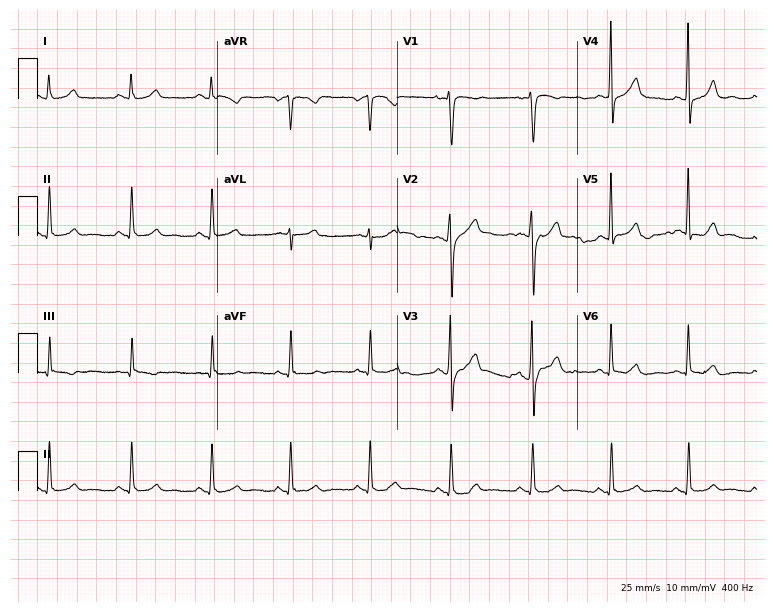
12-lead ECG from a 29-year-old female patient (7.3-second recording at 400 Hz). Recorded interpretation: within normal limits.